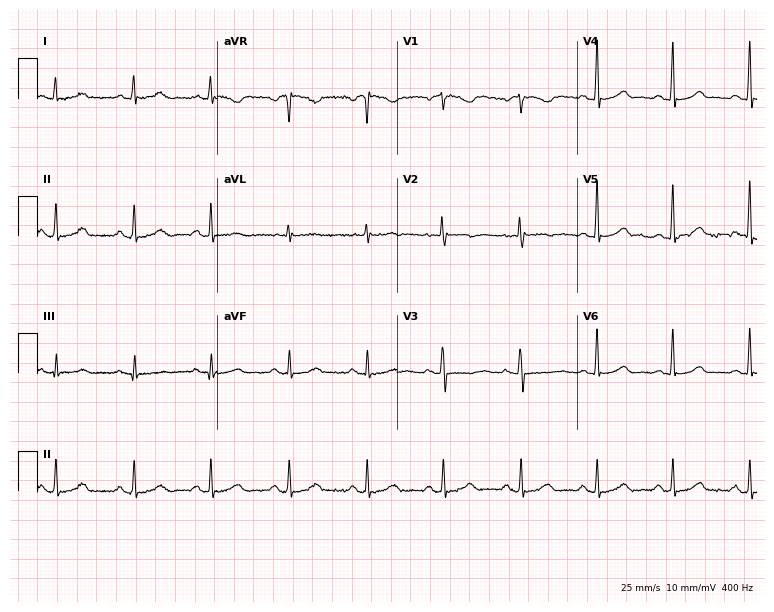
12-lead ECG (7.3-second recording at 400 Hz) from a female patient, 57 years old. Labelled as a normal ECG.